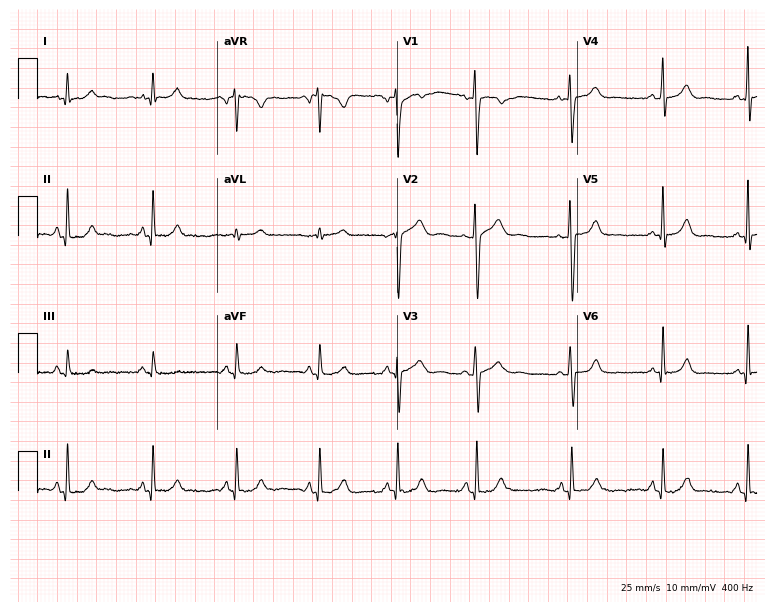
Standard 12-lead ECG recorded from a female, 19 years old. Read as a normal ECG.